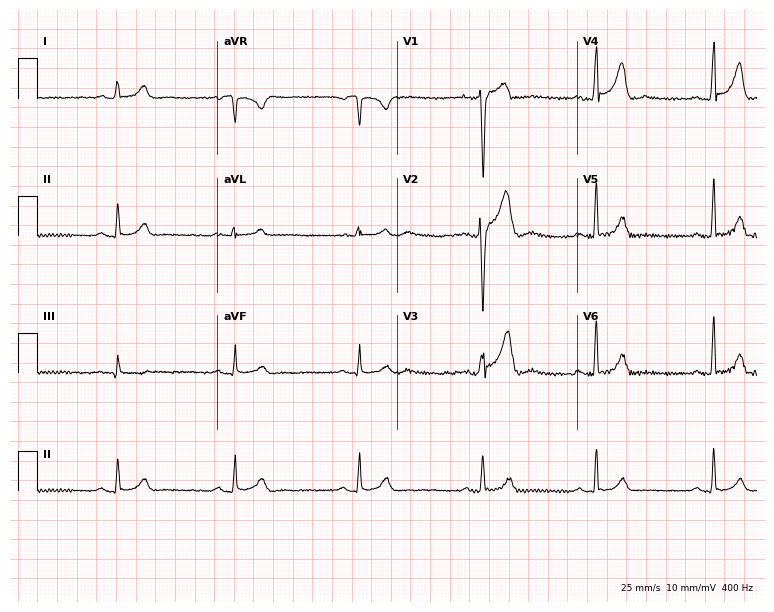
ECG — a 29-year-old woman. Findings include sinus bradycardia (a sinus rate of 50 beats per minute or less).